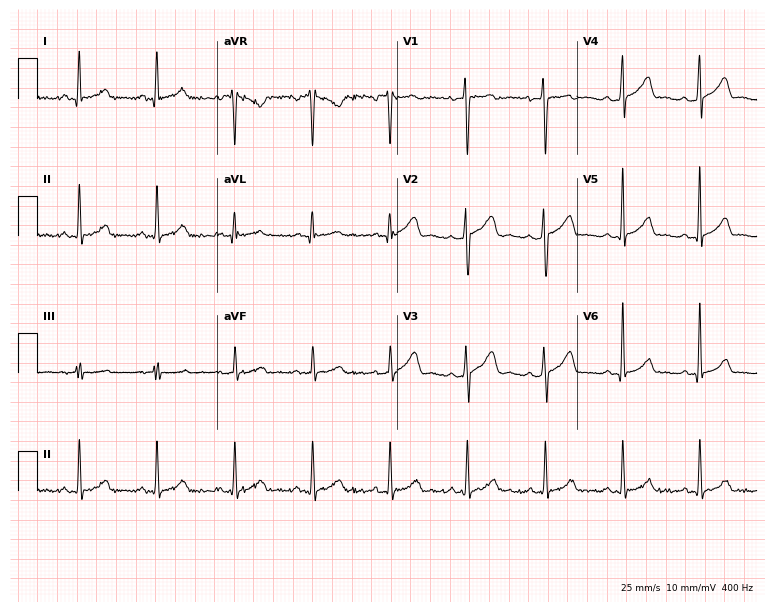
ECG — a 32-year-old woman. Labelled as a normal ECG.